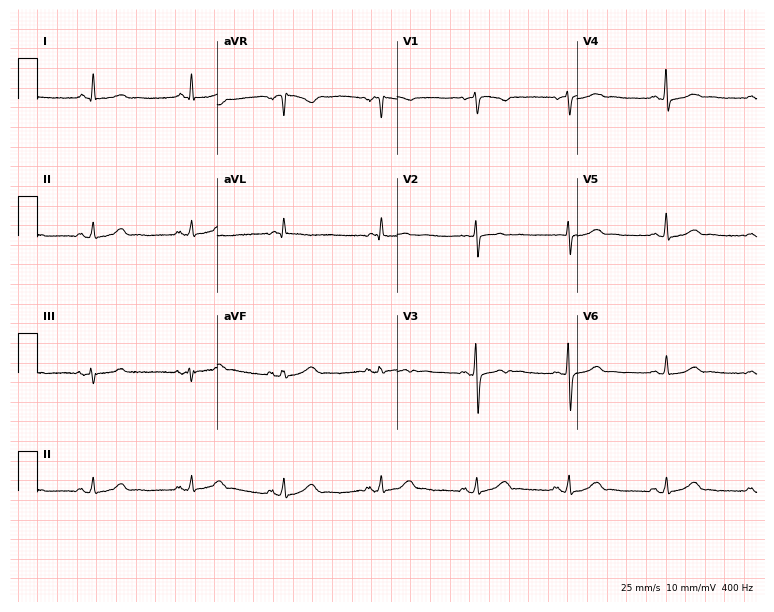
12-lead ECG from a 60-year-old female patient. Labelled as a normal ECG.